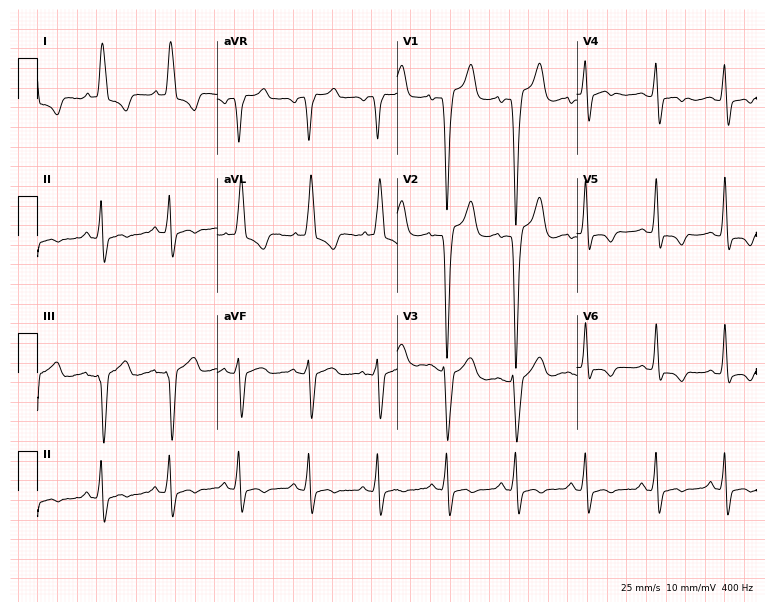
12-lead ECG (7.3-second recording at 400 Hz) from a woman, 71 years old. Findings include left bundle branch block (LBBB).